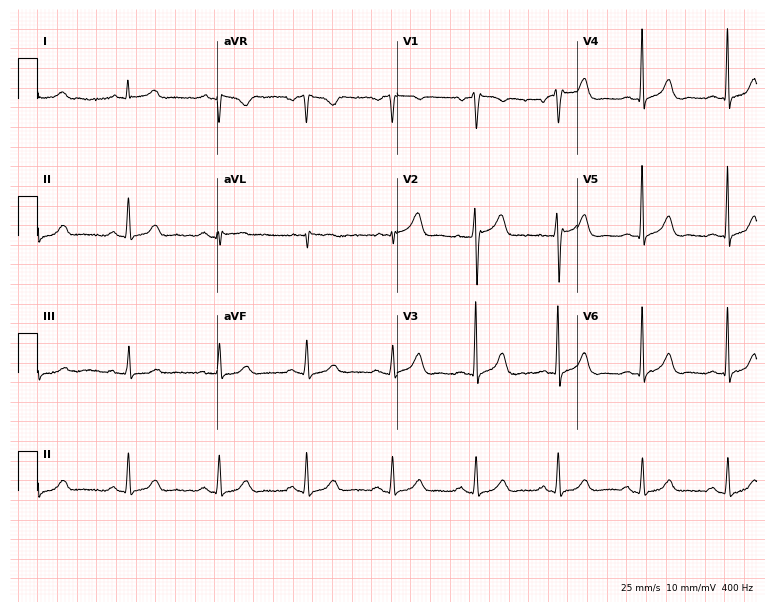
ECG — a man, 69 years old. Screened for six findings — first-degree AV block, right bundle branch block, left bundle branch block, sinus bradycardia, atrial fibrillation, sinus tachycardia — none is recorded.